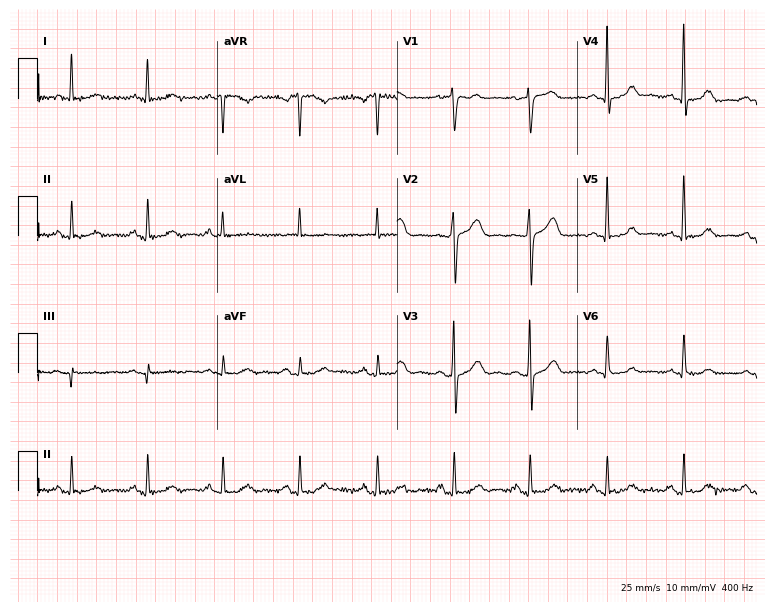
12-lead ECG from a woman, 83 years old (7.3-second recording at 400 Hz). Recorded interpretation: within normal limits.